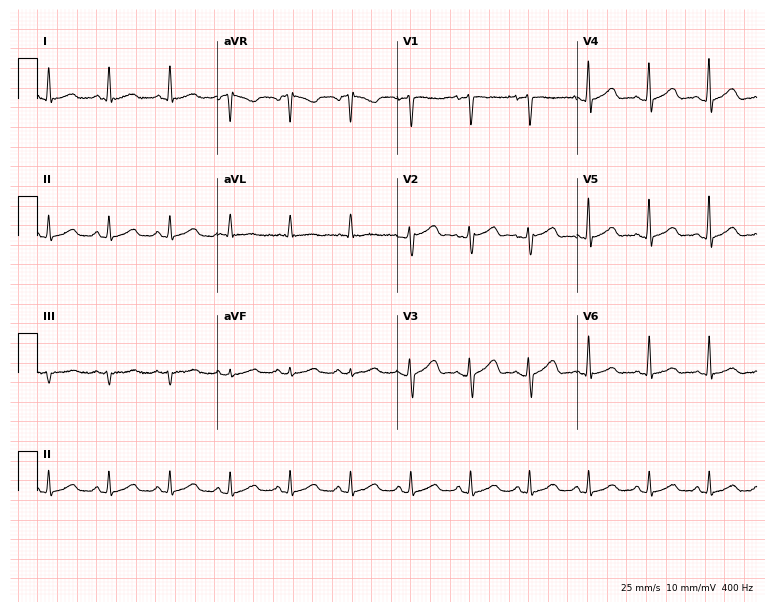
12-lead ECG (7.3-second recording at 400 Hz) from a female, 44 years old. Screened for six findings — first-degree AV block, right bundle branch block, left bundle branch block, sinus bradycardia, atrial fibrillation, sinus tachycardia — none is recorded.